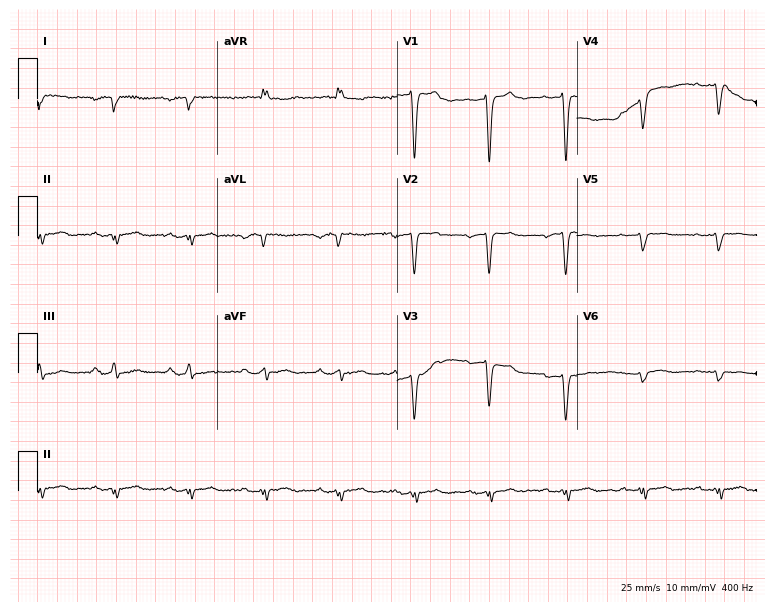
Standard 12-lead ECG recorded from a 39-year-old male (7.3-second recording at 400 Hz). None of these six findings is recorded: first-degree AV block, right bundle branch block (RBBB), left bundle branch block (LBBB), sinus bradycardia, atrial fibrillation (AF), sinus tachycardia. Findings outside these six are not listed.